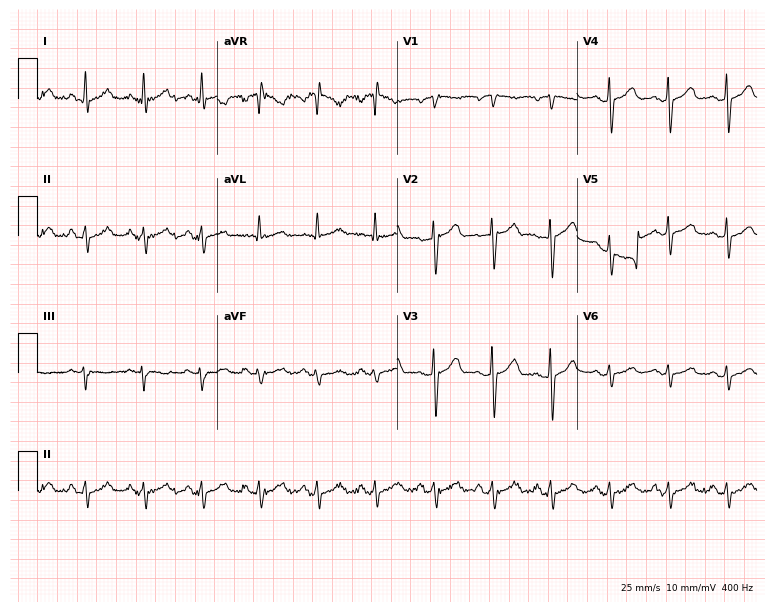
Standard 12-lead ECG recorded from a 62-year-old female patient (7.3-second recording at 400 Hz). None of these six findings is recorded: first-degree AV block, right bundle branch block (RBBB), left bundle branch block (LBBB), sinus bradycardia, atrial fibrillation (AF), sinus tachycardia.